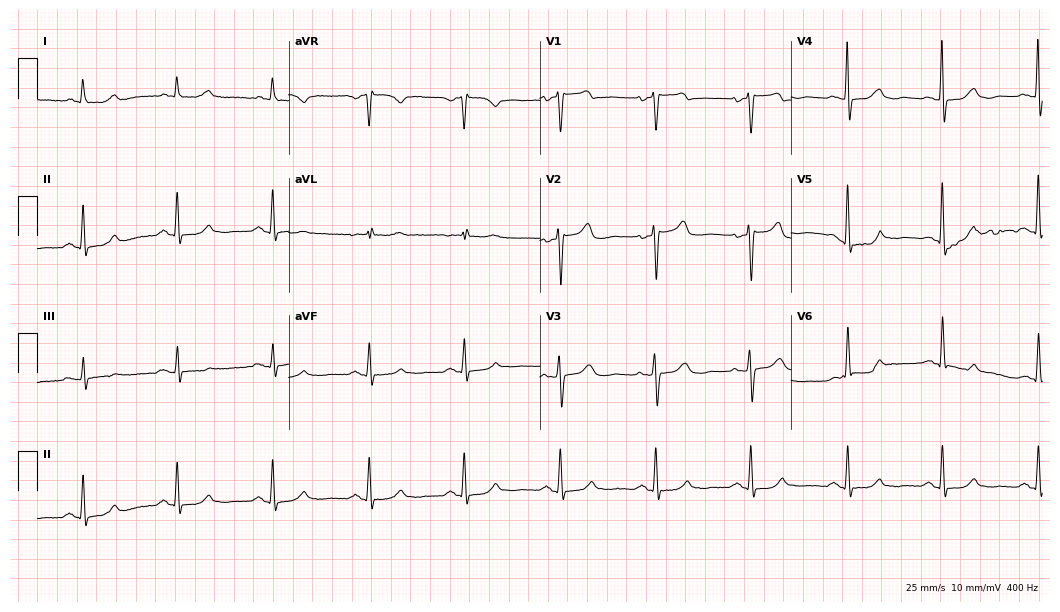
ECG (10.2-second recording at 400 Hz) — an 83-year-old female patient. Screened for six findings — first-degree AV block, right bundle branch block (RBBB), left bundle branch block (LBBB), sinus bradycardia, atrial fibrillation (AF), sinus tachycardia — none is recorded.